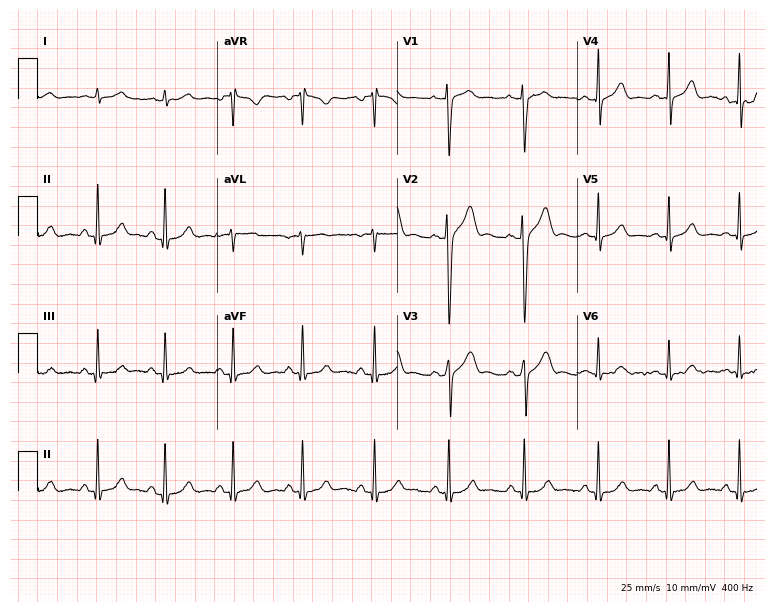
12-lead ECG (7.3-second recording at 400 Hz) from a male patient, 31 years old. Labelled as a normal ECG.